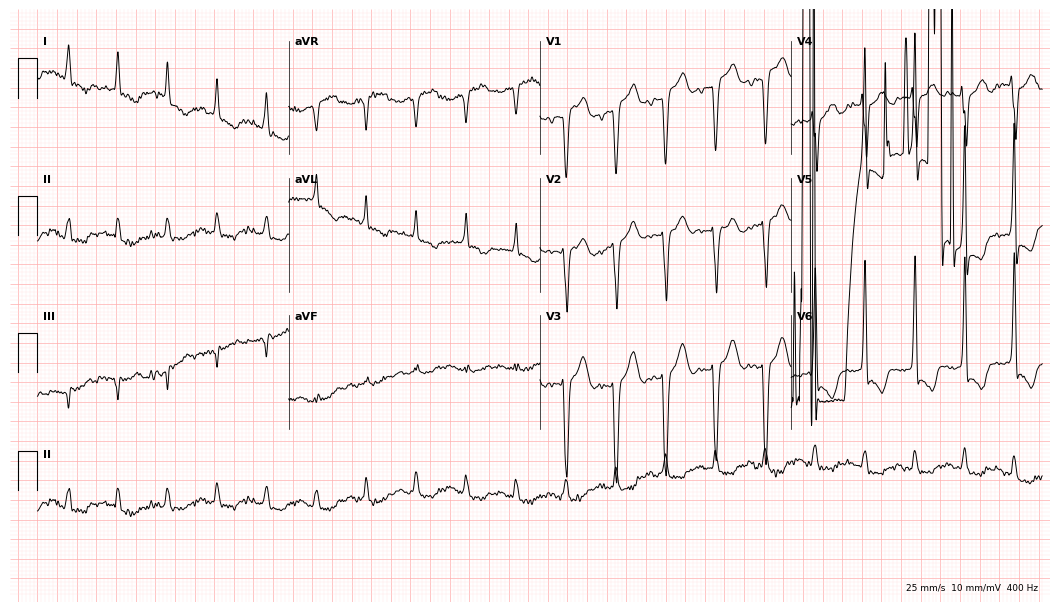
Electrocardiogram (10.2-second recording at 400 Hz), a male, 65 years old. Interpretation includes right bundle branch block, sinus bradycardia (a sinus rate of 50 beats per minute or less).